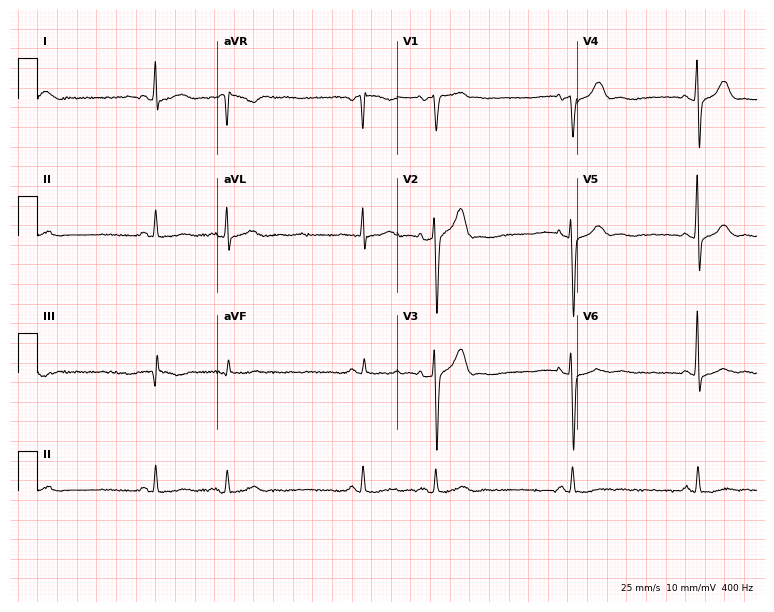
Resting 12-lead electrocardiogram (7.3-second recording at 400 Hz). Patient: a man, 66 years old. None of these six findings is recorded: first-degree AV block, right bundle branch block (RBBB), left bundle branch block (LBBB), sinus bradycardia, atrial fibrillation (AF), sinus tachycardia.